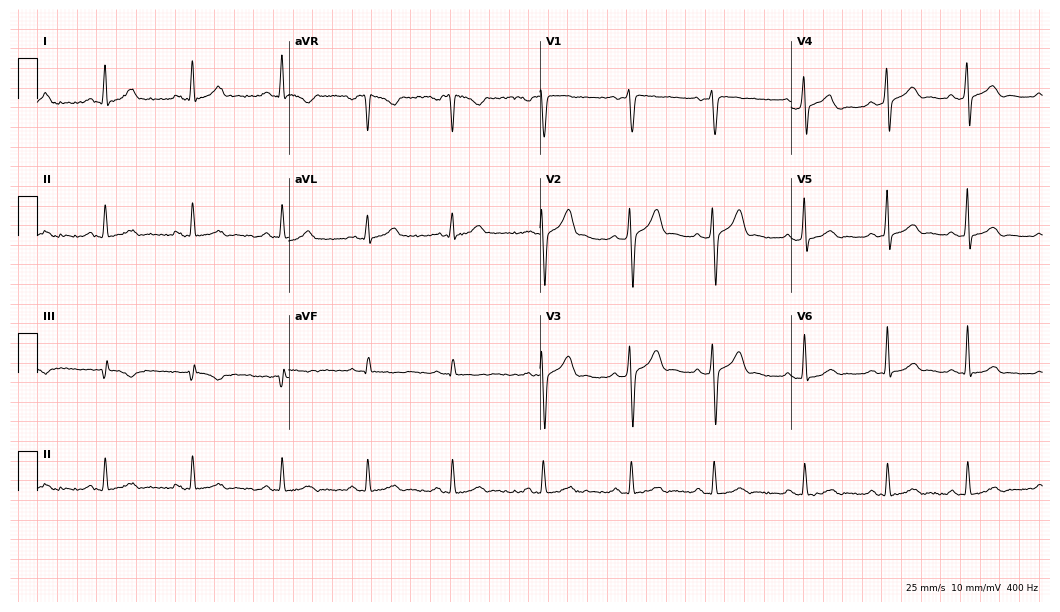
ECG (10.2-second recording at 400 Hz) — a 25-year-old male. Labelled as a normal ECG.